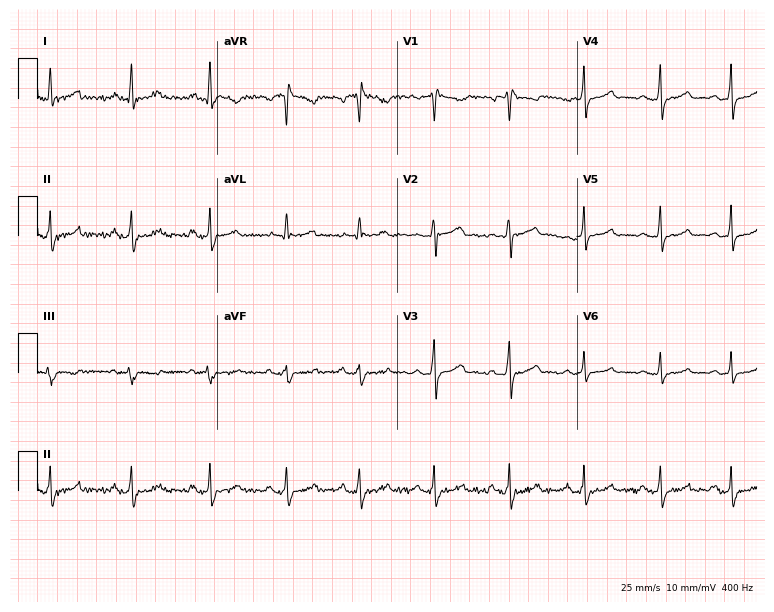
Resting 12-lead electrocardiogram. Patient: a female, 28 years old. Read as a normal ECG.